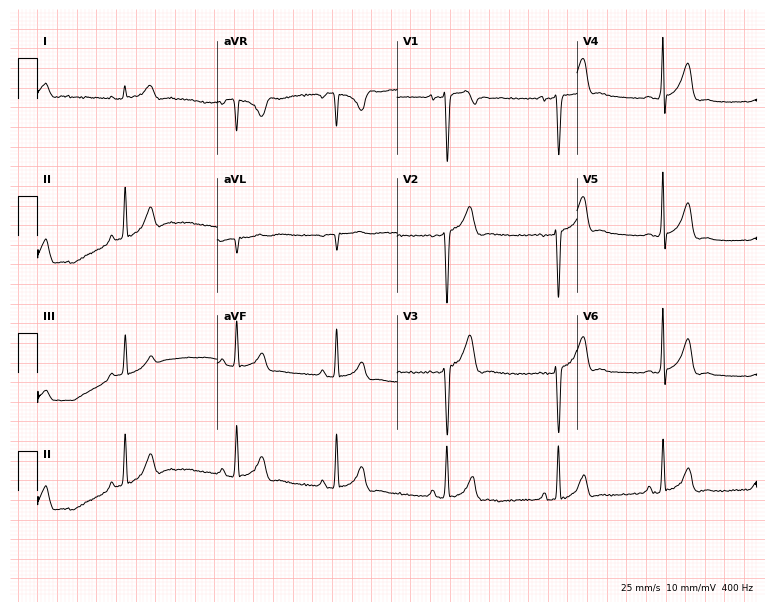
Resting 12-lead electrocardiogram (7.3-second recording at 400 Hz). Patient: a male, 22 years old. None of these six findings is recorded: first-degree AV block, right bundle branch block, left bundle branch block, sinus bradycardia, atrial fibrillation, sinus tachycardia. Other findings, if any, are not listed.